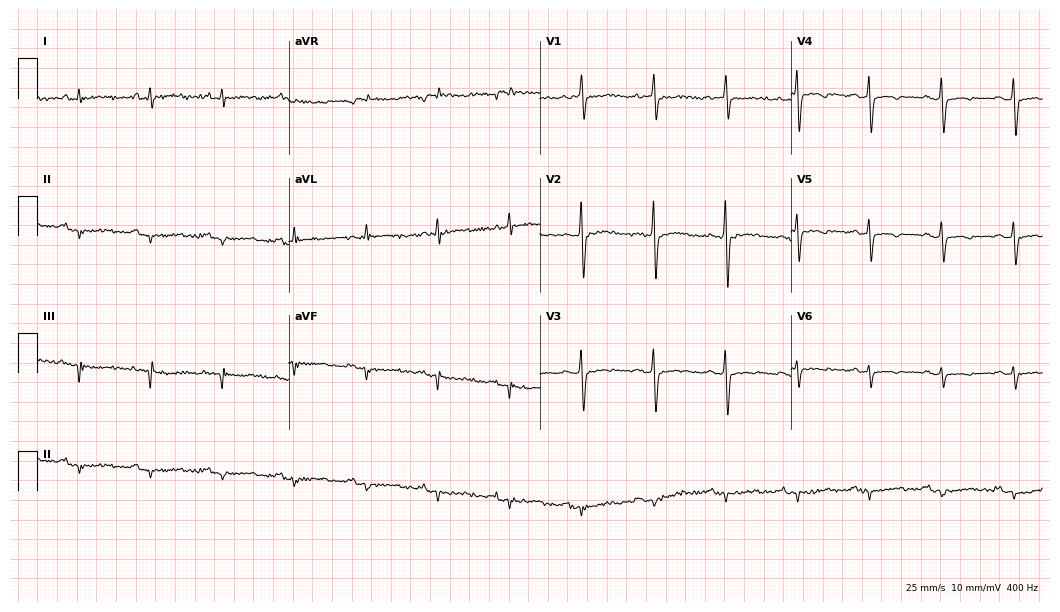
ECG (10.2-second recording at 400 Hz) — a 67-year-old female. Screened for six findings — first-degree AV block, right bundle branch block, left bundle branch block, sinus bradycardia, atrial fibrillation, sinus tachycardia — none is recorded. Findings outside these six are not listed.